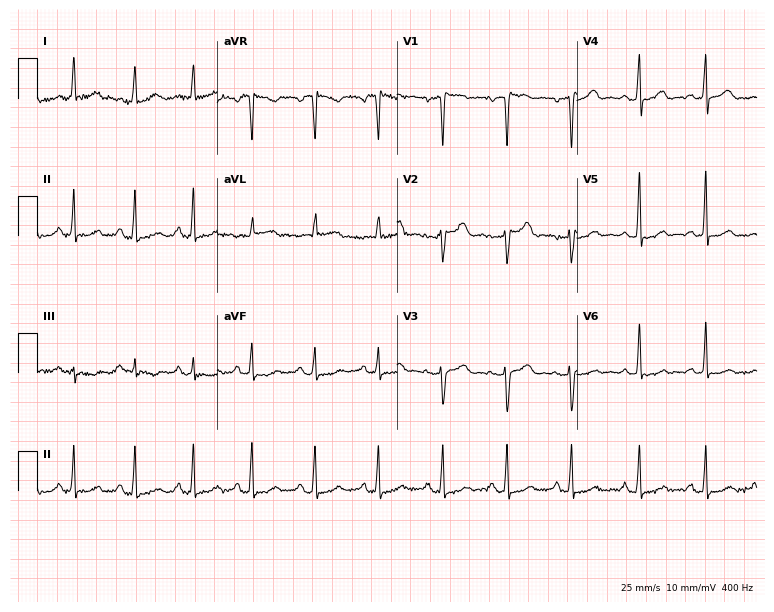
Electrocardiogram, a 41-year-old woman. Overall reading on record: normal ECG.